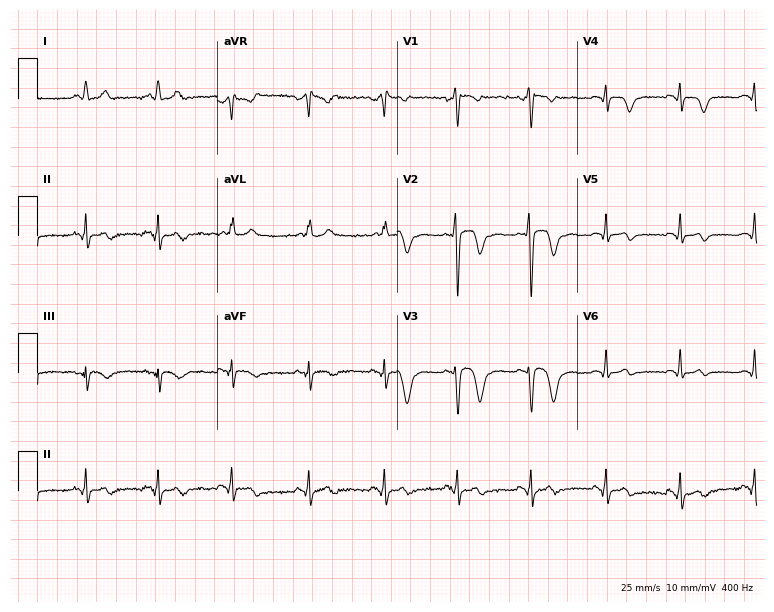
Standard 12-lead ECG recorded from a 38-year-old female (7.3-second recording at 400 Hz). None of these six findings is recorded: first-degree AV block, right bundle branch block (RBBB), left bundle branch block (LBBB), sinus bradycardia, atrial fibrillation (AF), sinus tachycardia.